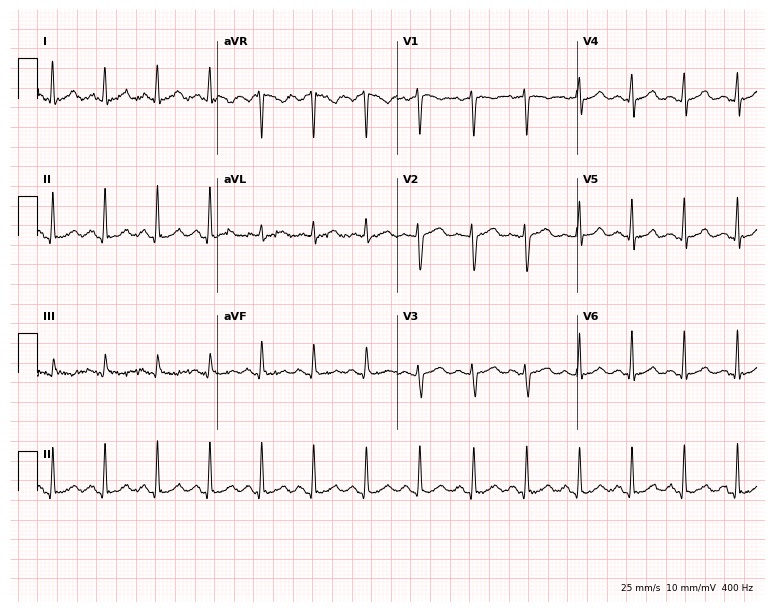
Resting 12-lead electrocardiogram (7.3-second recording at 400 Hz). Patient: a 25-year-old female. The tracing shows sinus tachycardia (a sinus rate of 100 beats per minute or more).